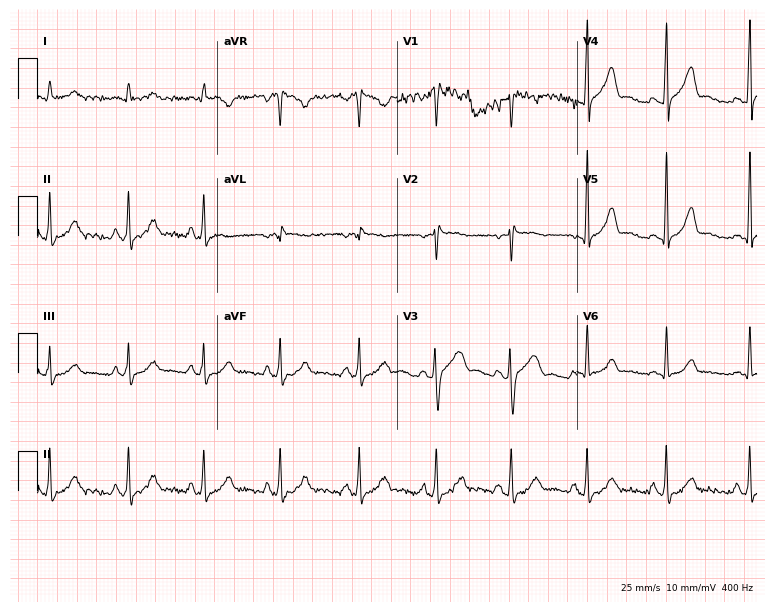
ECG (7.3-second recording at 400 Hz) — a 29-year-old man. Screened for six findings — first-degree AV block, right bundle branch block, left bundle branch block, sinus bradycardia, atrial fibrillation, sinus tachycardia — none is recorded. Findings outside these six are not listed.